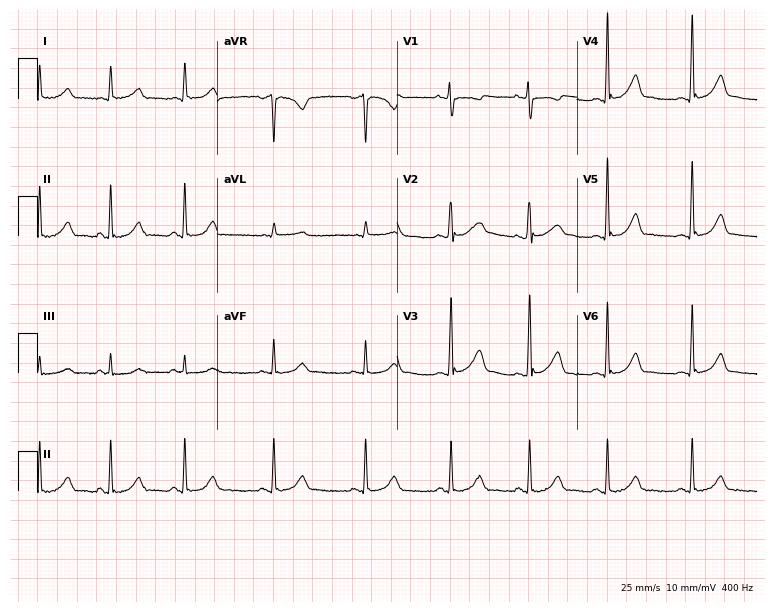
Electrocardiogram, a female patient, 40 years old. Overall reading on record: normal ECG.